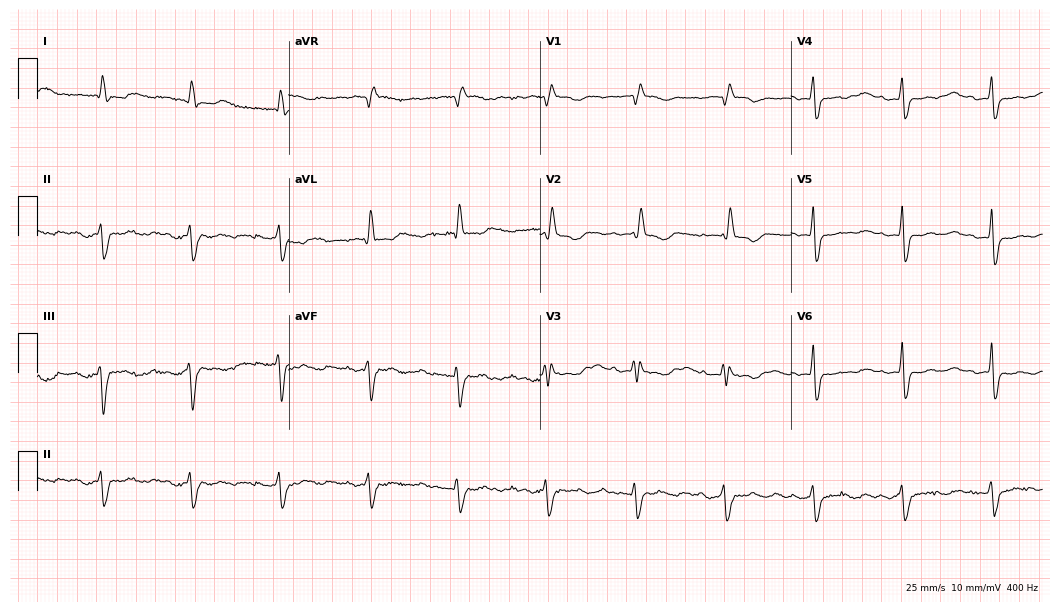
Standard 12-lead ECG recorded from a woman, 81 years old (10.2-second recording at 400 Hz). None of these six findings is recorded: first-degree AV block, right bundle branch block (RBBB), left bundle branch block (LBBB), sinus bradycardia, atrial fibrillation (AF), sinus tachycardia.